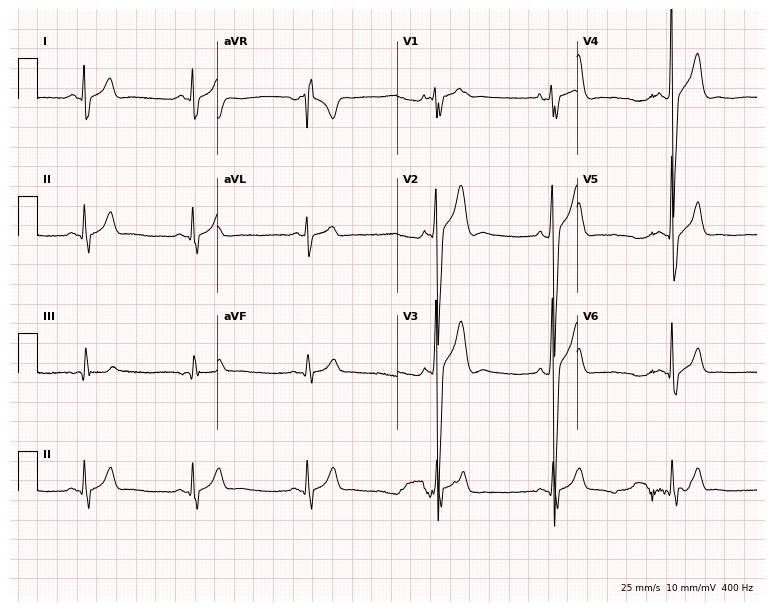
ECG — an 18-year-old man. Findings include sinus bradycardia (a sinus rate of 50 beats per minute or less).